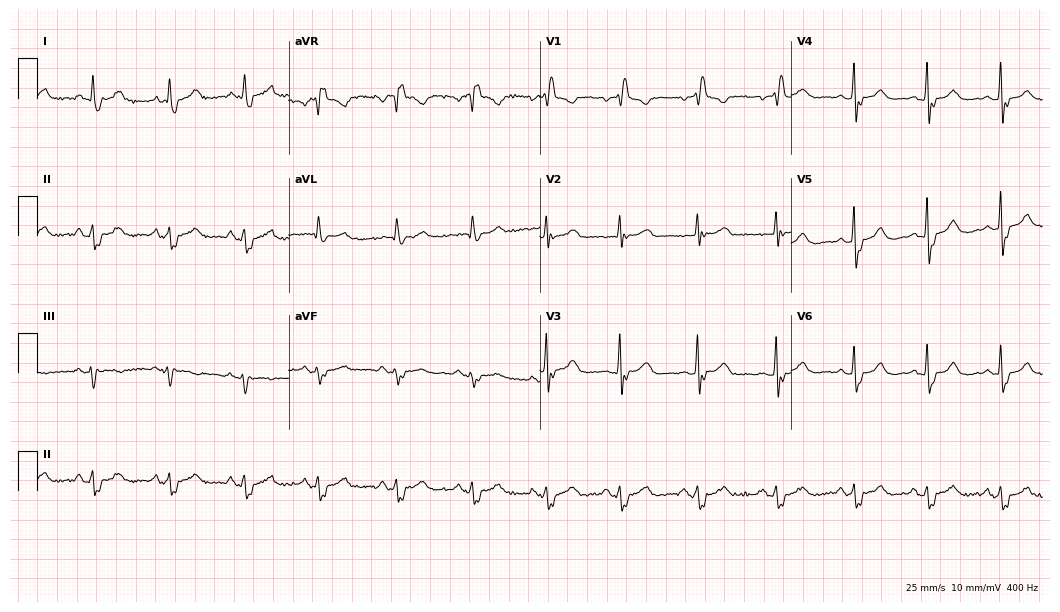
Standard 12-lead ECG recorded from a female, 54 years old (10.2-second recording at 400 Hz). The tracing shows right bundle branch block.